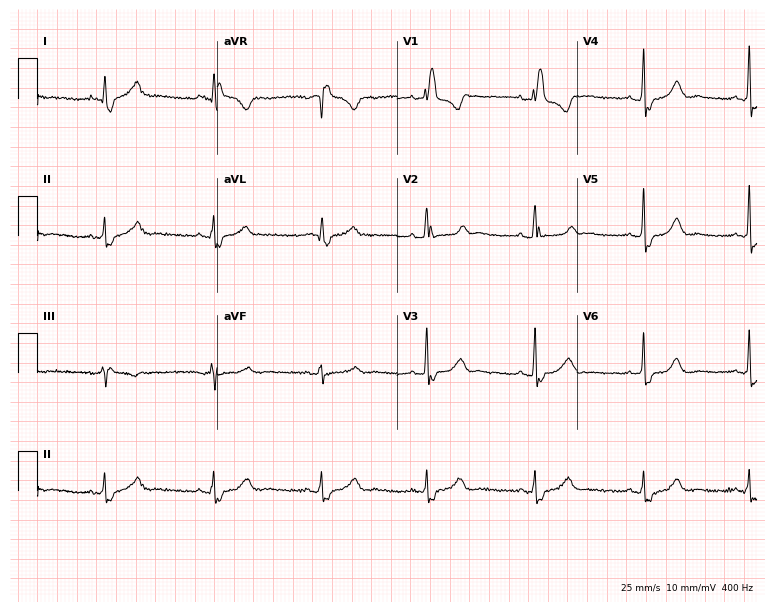
Resting 12-lead electrocardiogram. Patient: a woman, 60 years old. The tracing shows right bundle branch block.